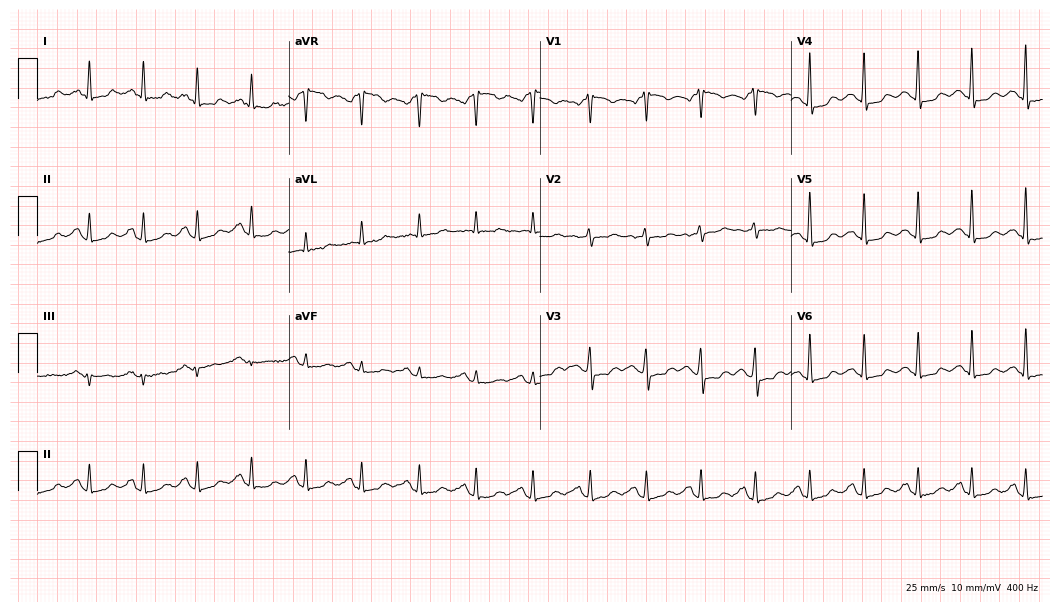
12-lead ECG (10.2-second recording at 400 Hz) from a female patient, 60 years old. Findings include sinus tachycardia (a sinus rate of 100 beats per minute or more).